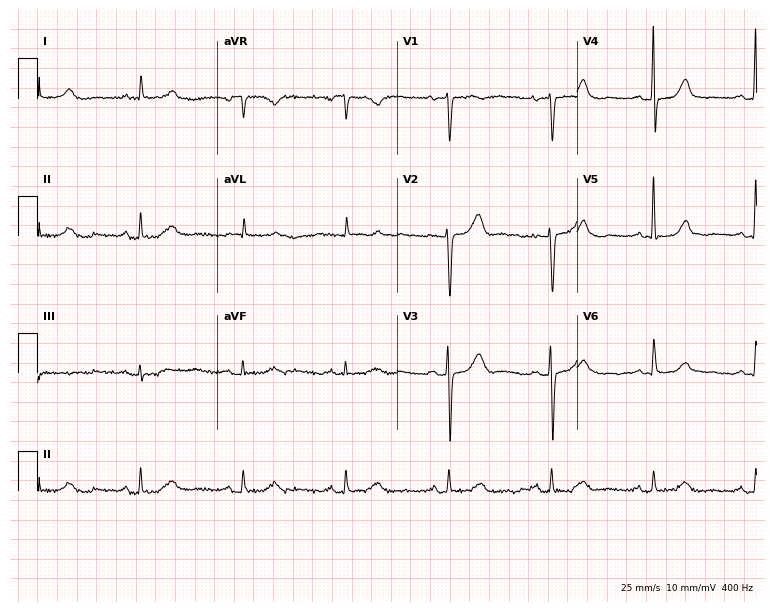
Standard 12-lead ECG recorded from an 85-year-old female patient (7.3-second recording at 400 Hz). None of these six findings is recorded: first-degree AV block, right bundle branch block, left bundle branch block, sinus bradycardia, atrial fibrillation, sinus tachycardia. Findings outside these six are not listed.